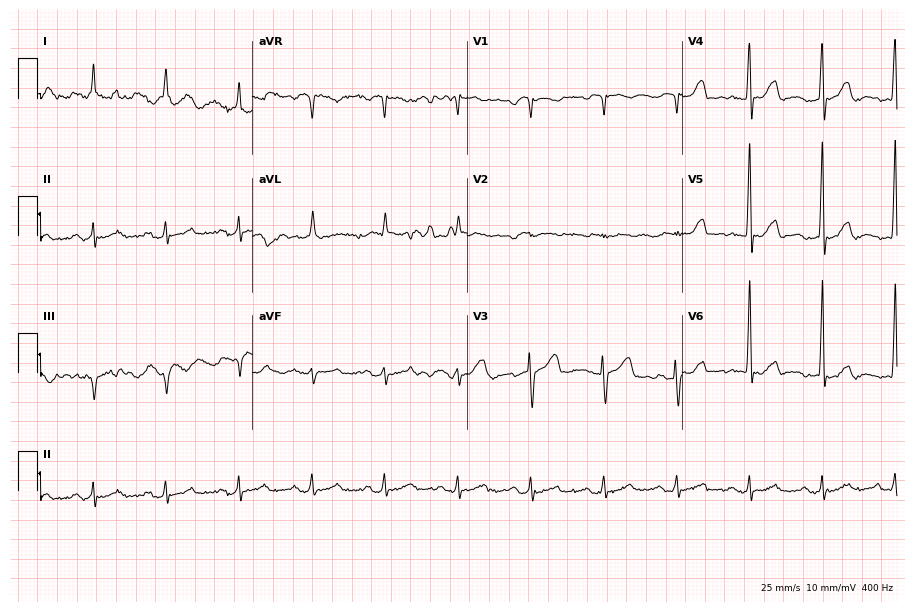
ECG (8.8-second recording at 400 Hz) — a 75-year-old female. Screened for six findings — first-degree AV block, right bundle branch block, left bundle branch block, sinus bradycardia, atrial fibrillation, sinus tachycardia — none is recorded.